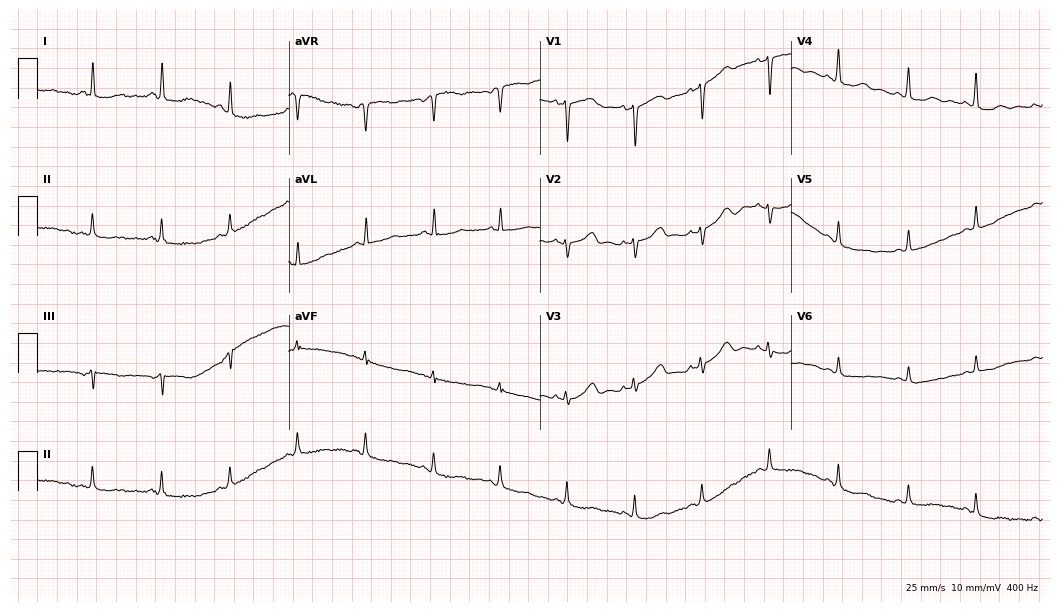
Standard 12-lead ECG recorded from a woman, 55 years old (10.2-second recording at 400 Hz). Read as a normal ECG.